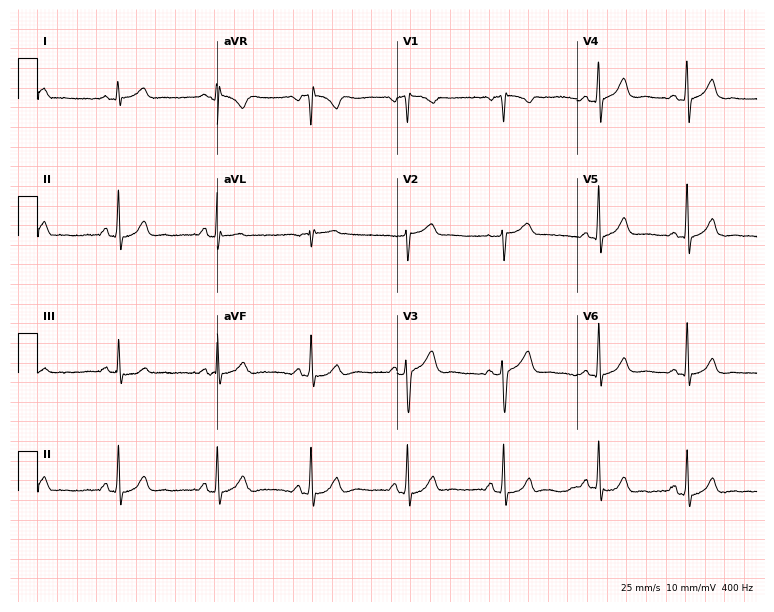
Resting 12-lead electrocardiogram. Patient: a man, 28 years old. Read as a normal ECG.